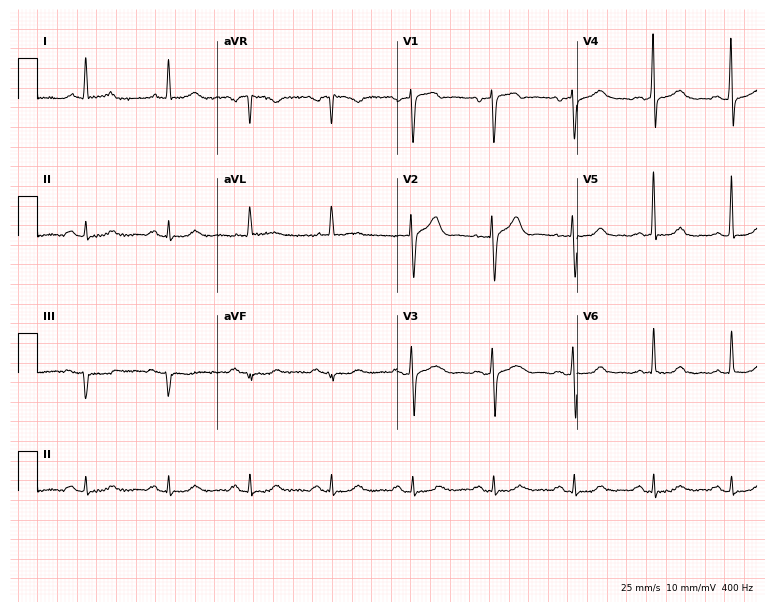
ECG — a male patient, 59 years old. Labelled as a normal ECG.